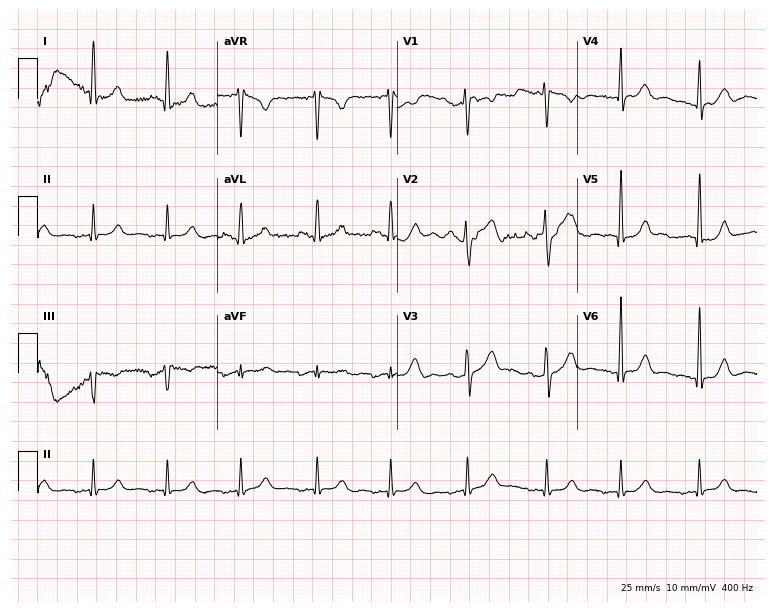
Electrocardiogram, a woman, 48 years old. Overall reading on record: normal ECG.